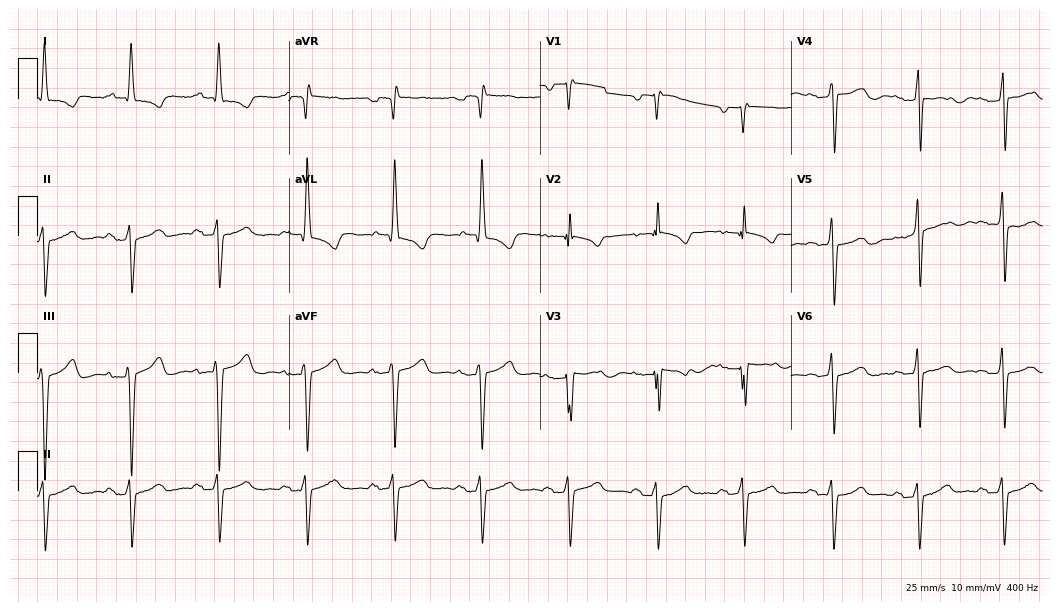
Electrocardiogram, a male patient, 66 years old. Of the six screened findings (first-degree AV block, right bundle branch block, left bundle branch block, sinus bradycardia, atrial fibrillation, sinus tachycardia), none is recorded.